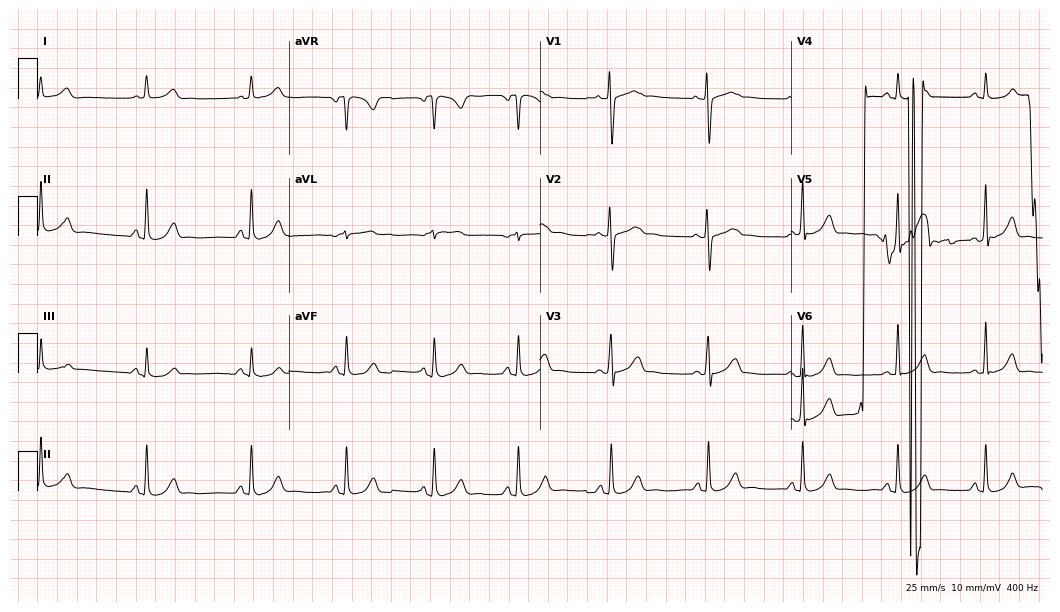
Standard 12-lead ECG recorded from a 28-year-old woman. None of these six findings is recorded: first-degree AV block, right bundle branch block (RBBB), left bundle branch block (LBBB), sinus bradycardia, atrial fibrillation (AF), sinus tachycardia.